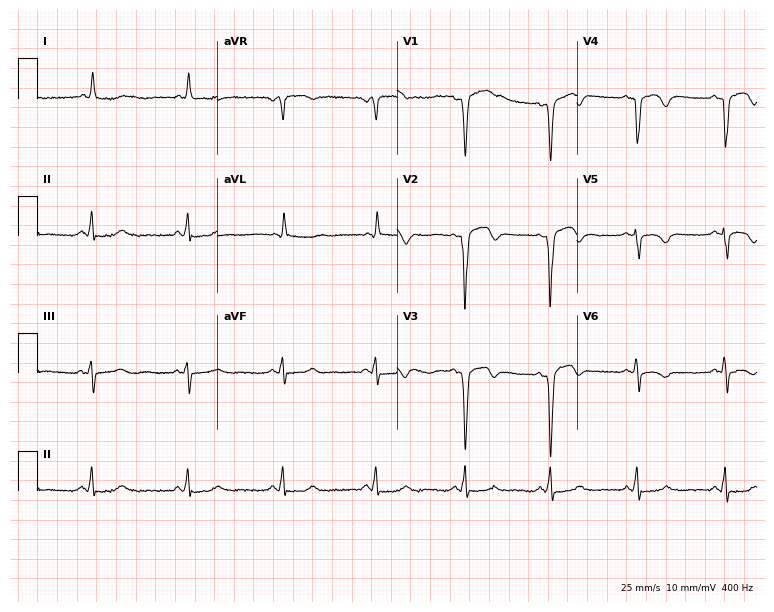
Standard 12-lead ECG recorded from a 59-year-old man (7.3-second recording at 400 Hz). None of these six findings is recorded: first-degree AV block, right bundle branch block, left bundle branch block, sinus bradycardia, atrial fibrillation, sinus tachycardia.